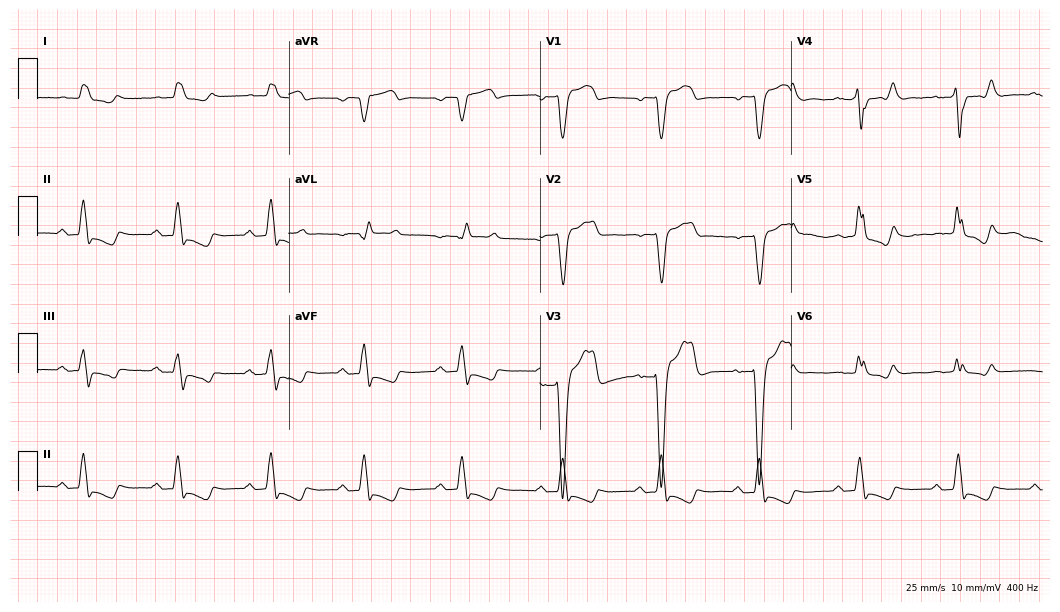
12-lead ECG (10.2-second recording at 400 Hz) from an 82-year-old male. Findings include left bundle branch block (LBBB).